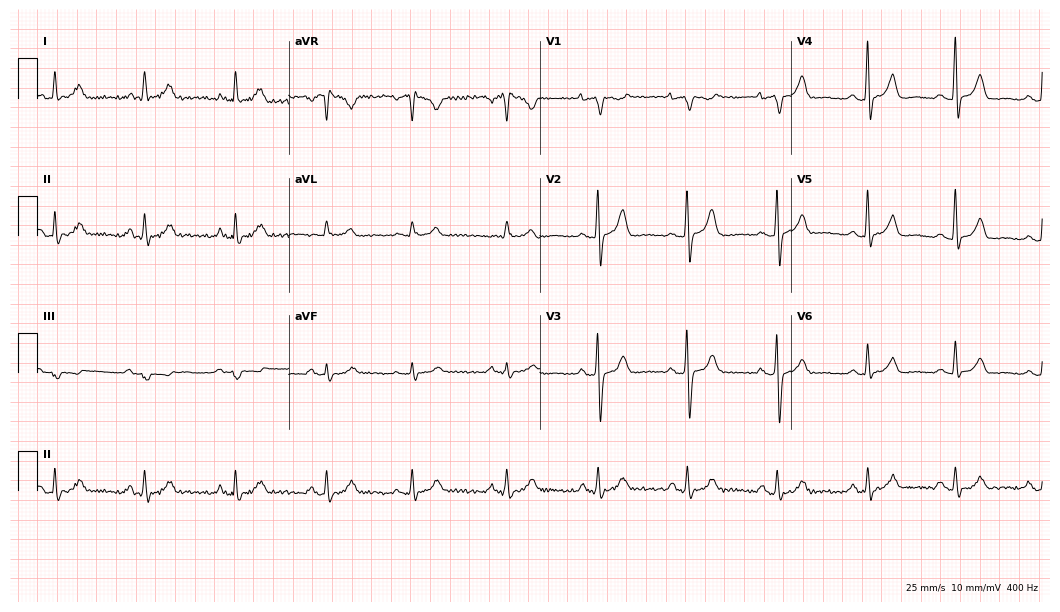
Standard 12-lead ECG recorded from a 68-year-old man. Read as a normal ECG.